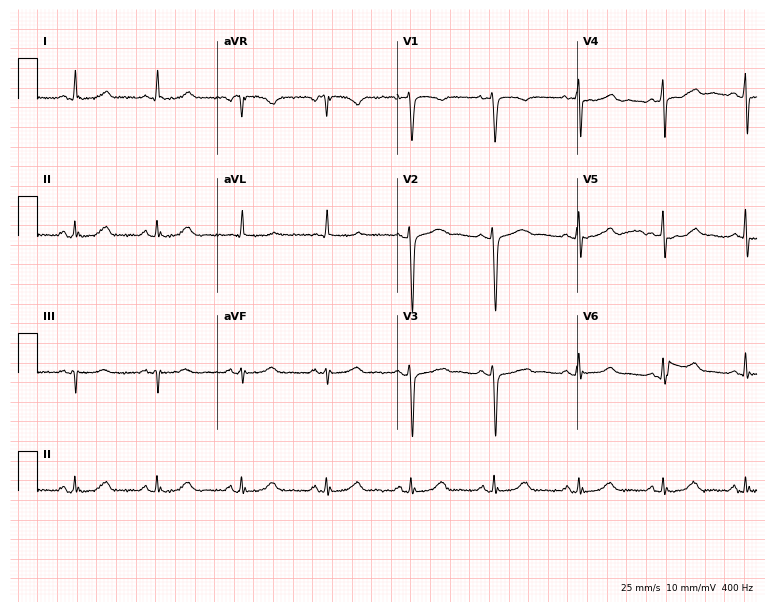
Standard 12-lead ECG recorded from a female, 48 years old (7.3-second recording at 400 Hz). Read as a normal ECG.